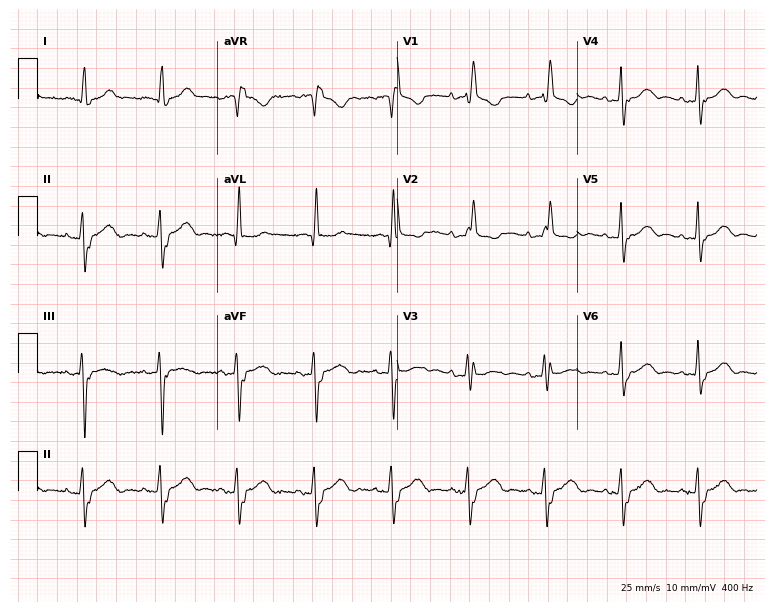
ECG (7.3-second recording at 400 Hz) — a female, 83 years old. Findings include right bundle branch block.